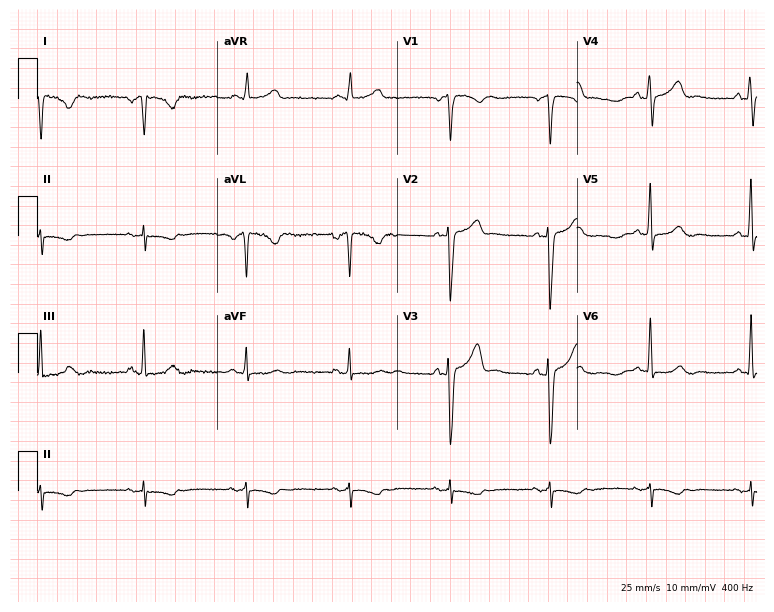
ECG (7.3-second recording at 400 Hz) — a male, 58 years old. Screened for six findings — first-degree AV block, right bundle branch block (RBBB), left bundle branch block (LBBB), sinus bradycardia, atrial fibrillation (AF), sinus tachycardia — none is recorded. Other findings, if any, are not listed.